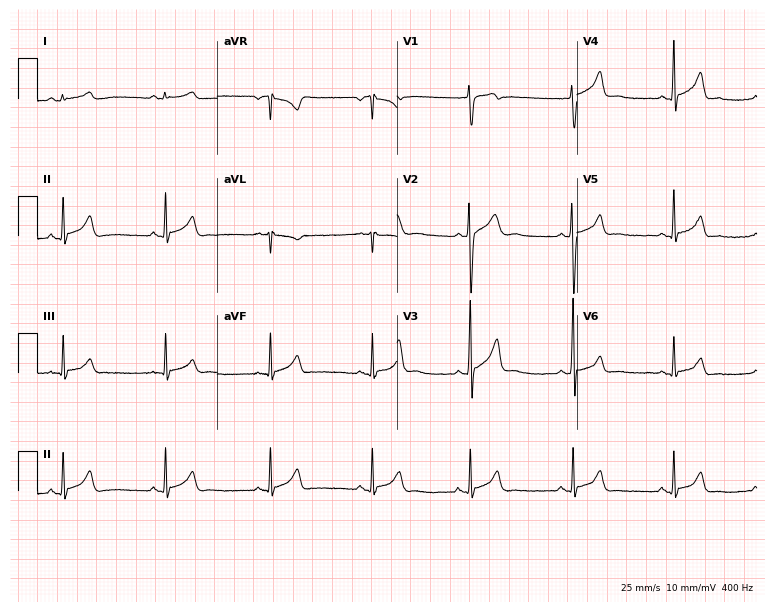
12-lead ECG from a man, 18 years old. Labelled as a normal ECG.